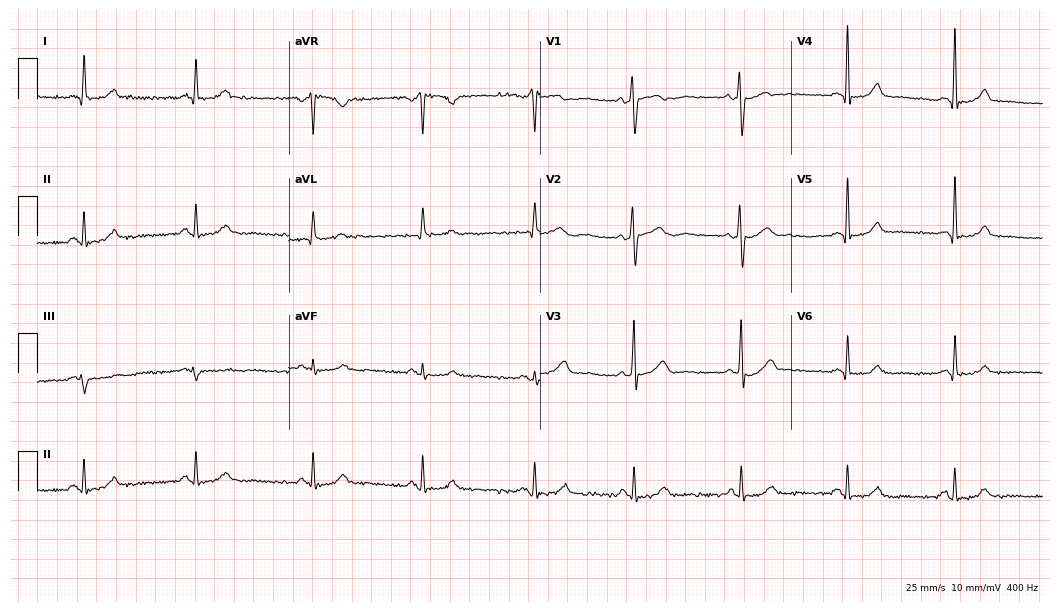
Resting 12-lead electrocardiogram (10.2-second recording at 400 Hz). Patient: a 45-year-old woman. Read as a normal ECG.